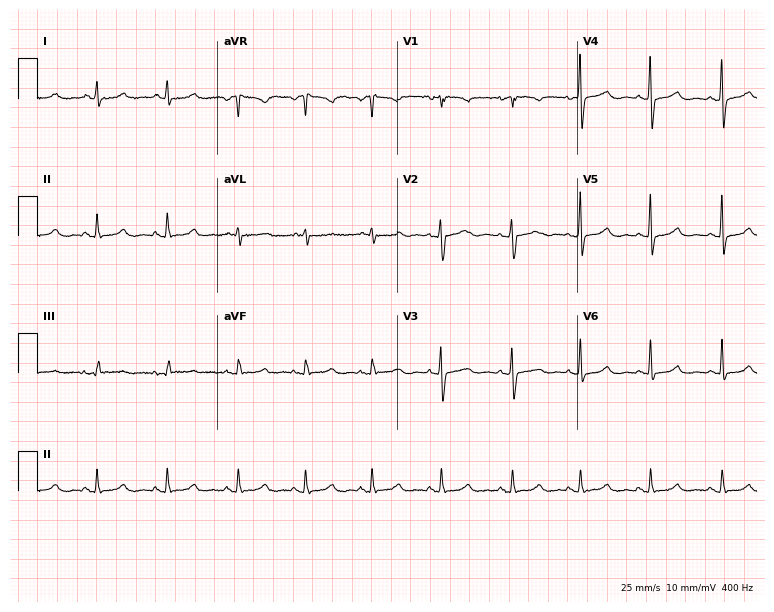
12-lead ECG from a female, 29 years old. Labelled as a normal ECG.